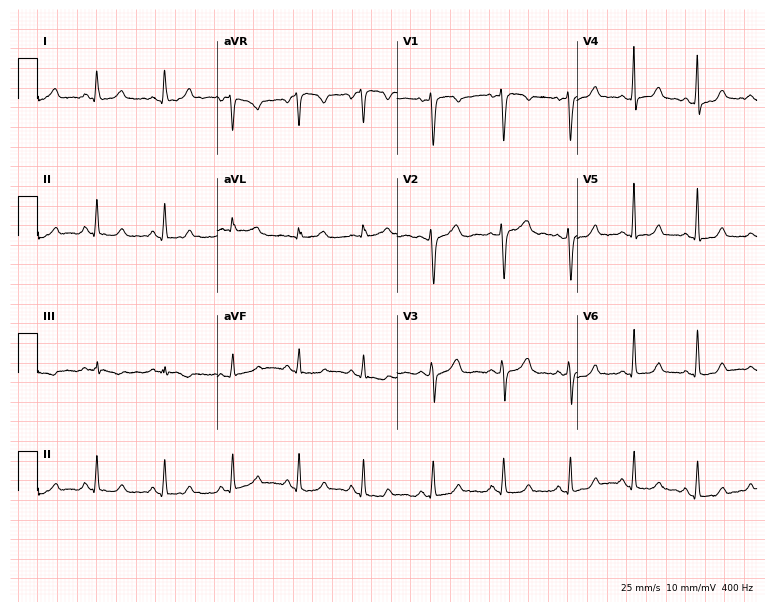
Standard 12-lead ECG recorded from a woman, 38 years old. Read as a normal ECG.